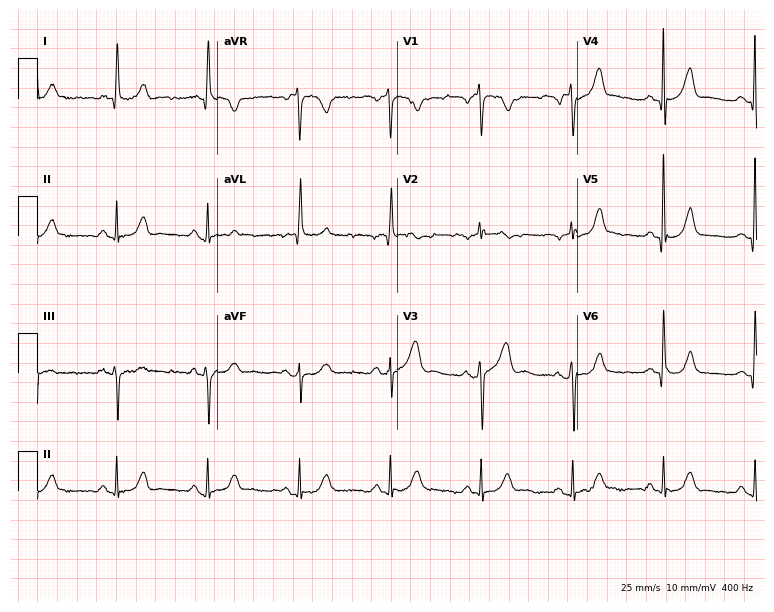
Resting 12-lead electrocardiogram. Patient: a female, 84 years old. None of these six findings is recorded: first-degree AV block, right bundle branch block, left bundle branch block, sinus bradycardia, atrial fibrillation, sinus tachycardia. Other findings, if any, are not listed.